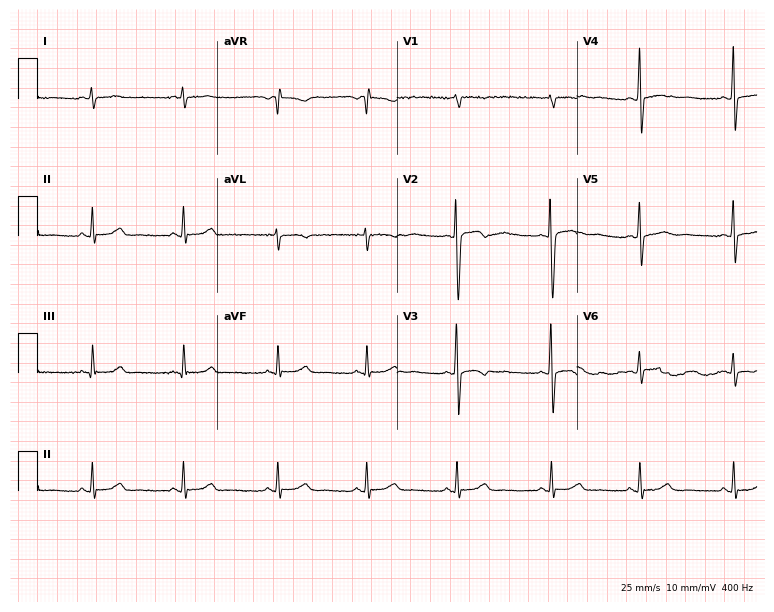
Resting 12-lead electrocardiogram (7.3-second recording at 400 Hz). Patient: a female, 20 years old. None of these six findings is recorded: first-degree AV block, right bundle branch block (RBBB), left bundle branch block (LBBB), sinus bradycardia, atrial fibrillation (AF), sinus tachycardia.